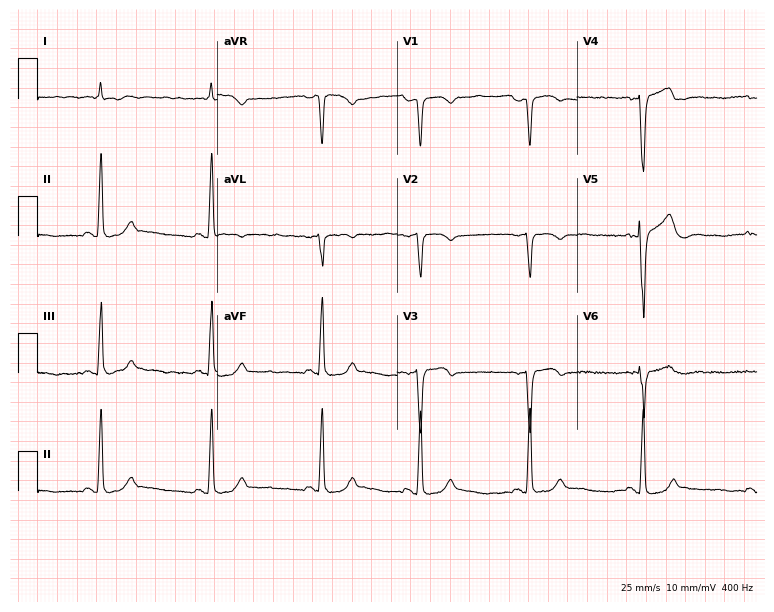
Electrocardiogram (7.3-second recording at 400 Hz), a male, 60 years old. Of the six screened findings (first-degree AV block, right bundle branch block (RBBB), left bundle branch block (LBBB), sinus bradycardia, atrial fibrillation (AF), sinus tachycardia), none is recorded.